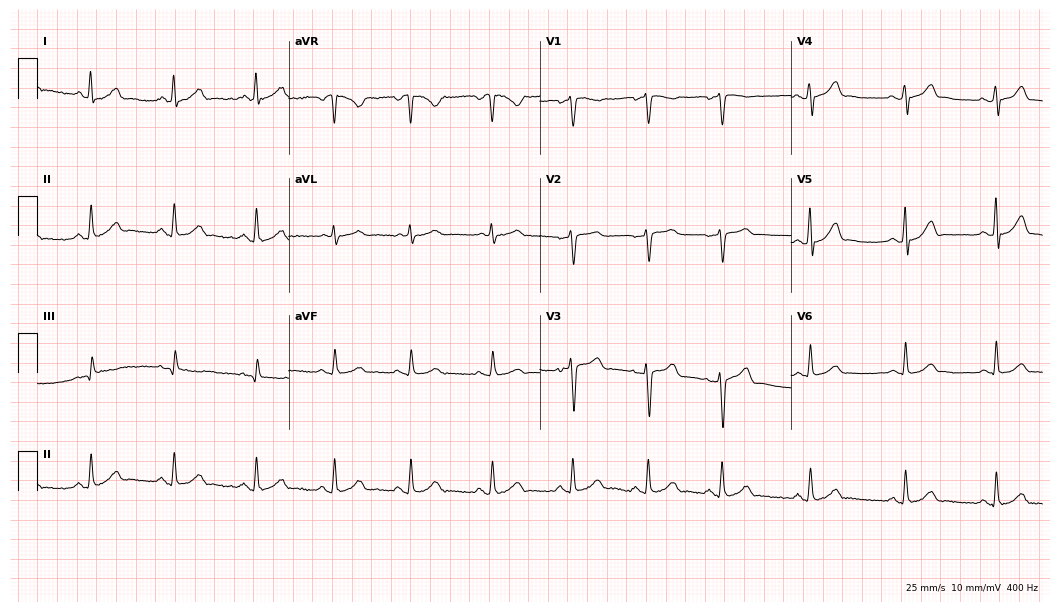
12-lead ECG (10.2-second recording at 400 Hz) from a female, 24 years old. Labelled as a normal ECG.